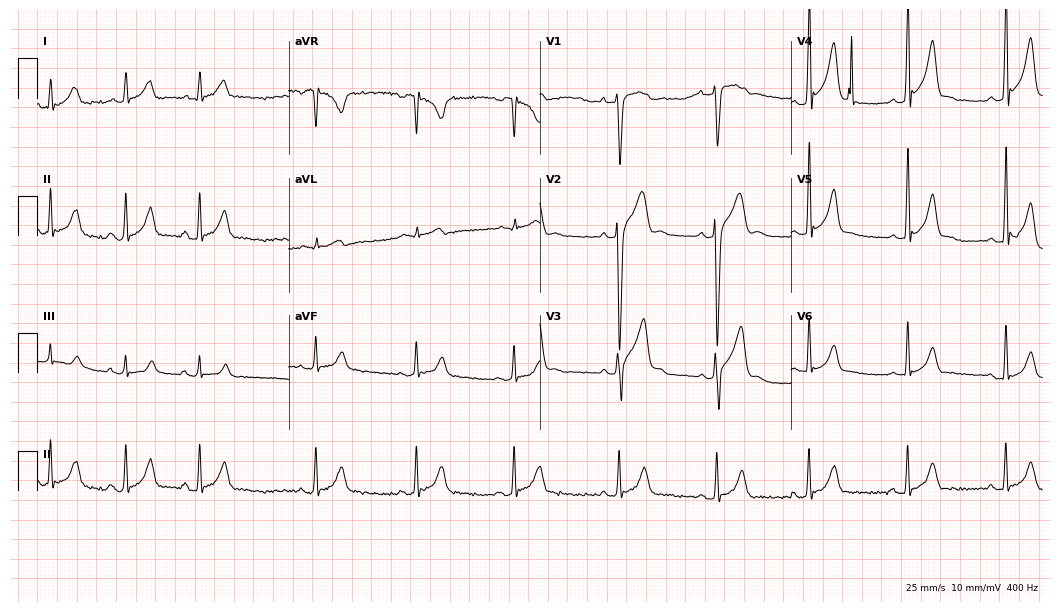
ECG (10.2-second recording at 400 Hz) — an 18-year-old male. Screened for six findings — first-degree AV block, right bundle branch block, left bundle branch block, sinus bradycardia, atrial fibrillation, sinus tachycardia — none is recorded. Findings outside these six are not listed.